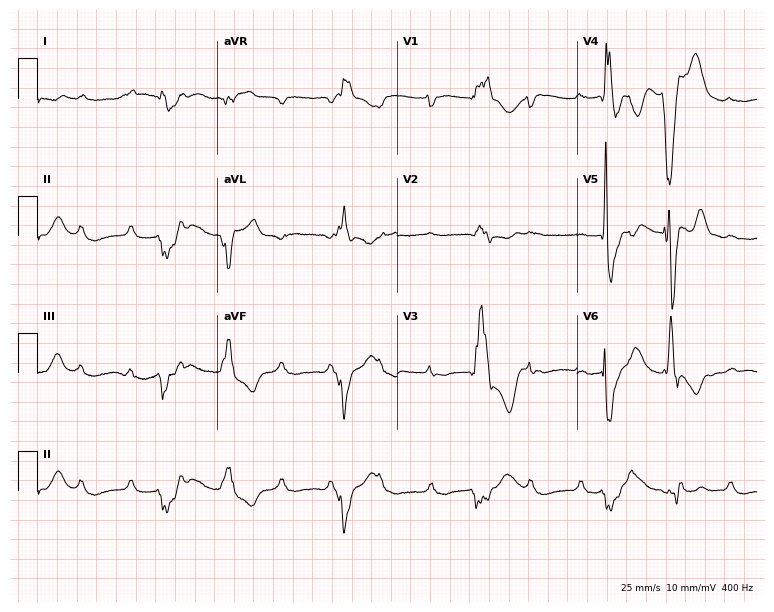
12-lead ECG from a 46-year-old male patient. Findings include first-degree AV block, atrial fibrillation.